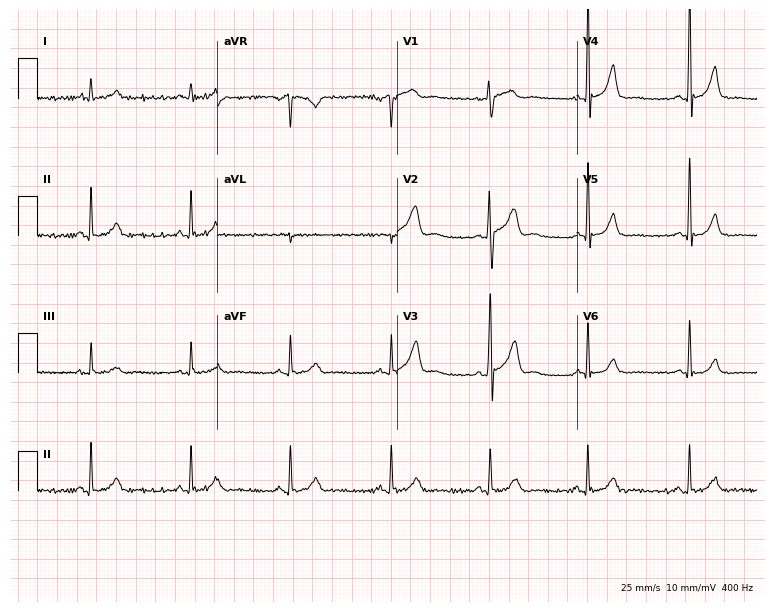
Electrocardiogram (7.3-second recording at 400 Hz), a male, 48 years old. Of the six screened findings (first-degree AV block, right bundle branch block, left bundle branch block, sinus bradycardia, atrial fibrillation, sinus tachycardia), none is recorded.